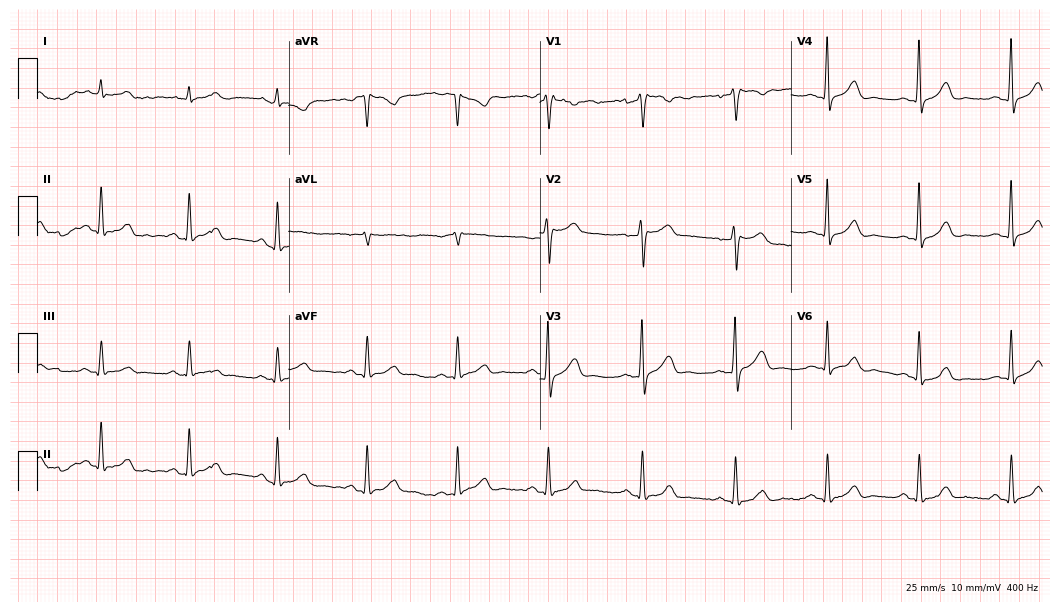
Standard 12-lead ECG recorded from a male patient, 68 years old. None of these six findings is recorded: first-degree AV block, right bundle branch block, left bundle branch block, sinus bradycardia, atrial fibrillation, sinus tachycardia.